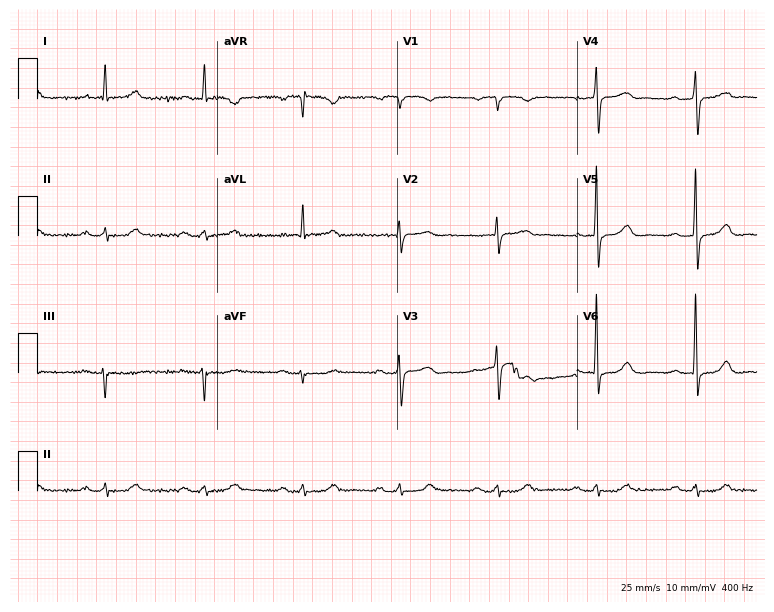
Standard 12-lead ECG recorded from a 75-year-old female. The tracing shows first-degree AV block.